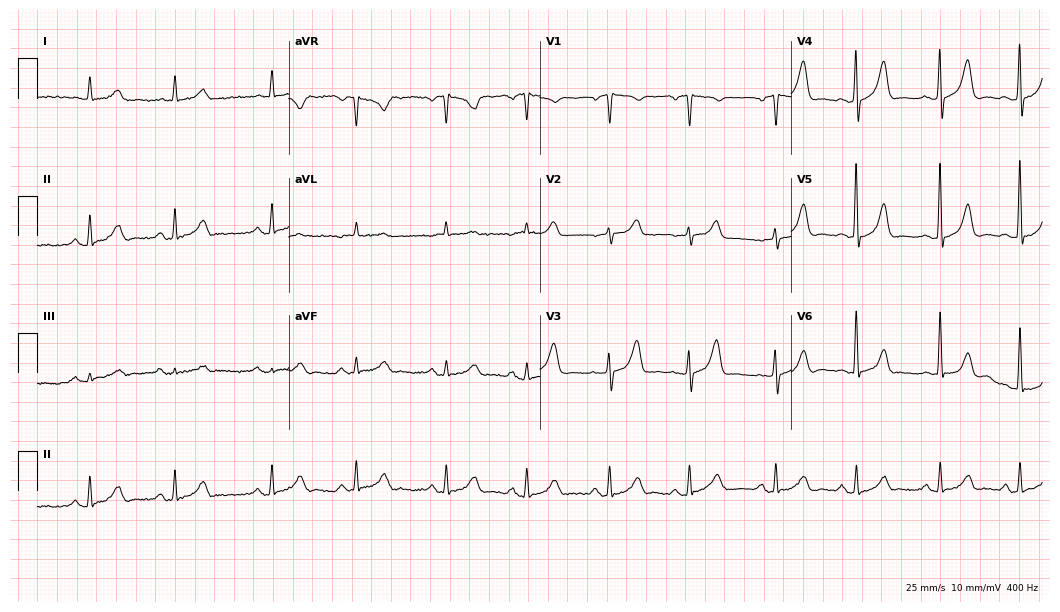
ECG (10.2-second recording at 400 Hz) — an 85-year-old male patient. Labelled as a normal ECG.